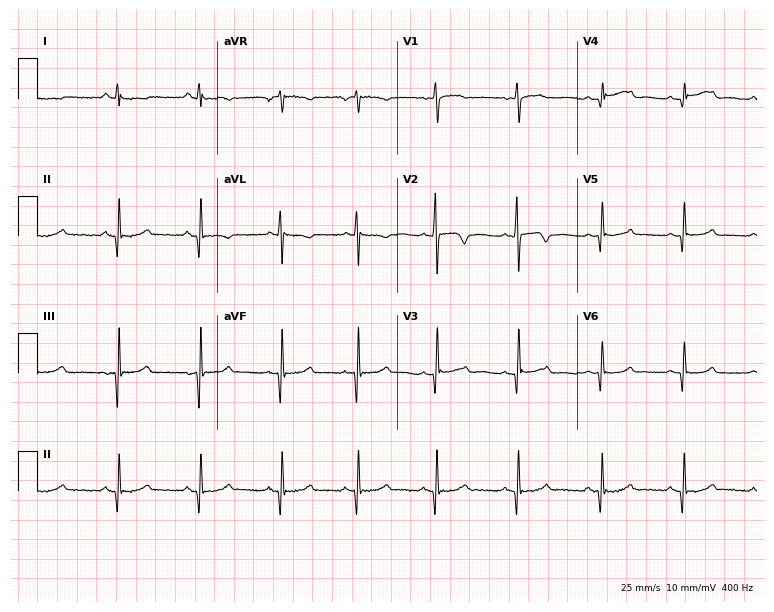
Electrocardiogram, a female patient, 25 years old. Of the six screened findings (first-degree AV block, right bundle branch block, left bundle branch block, sinus bradycardia, atrial fibrillation, sinus tachycardia), none is recorded.